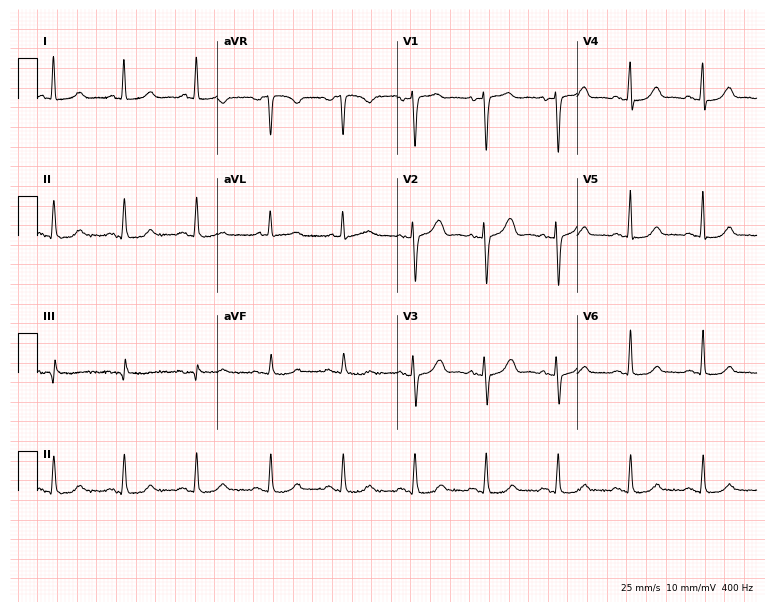
12-lead ECG (7.3-second recording at 400 Hz) from a female patient, 63 years old. Labelled as a normal ECG.